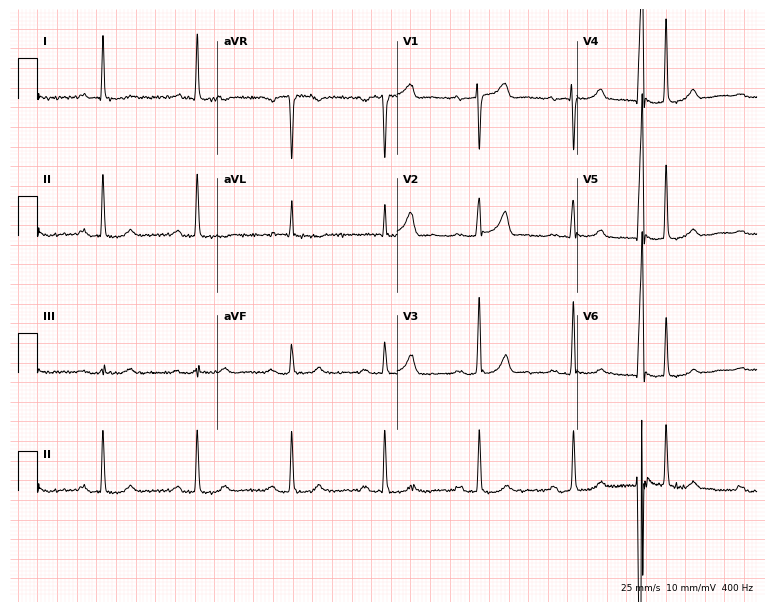
Electrocardiogram, a female patient, 65 years old. Of the six screened findings (first-degree AV block, right bundle branch block (RBBB), left bundle branch block (LBBB), sinus bradycardia, atrial fibrillation (AF), sinus tachycardia), none is recorded. Only these six findings were labelled.